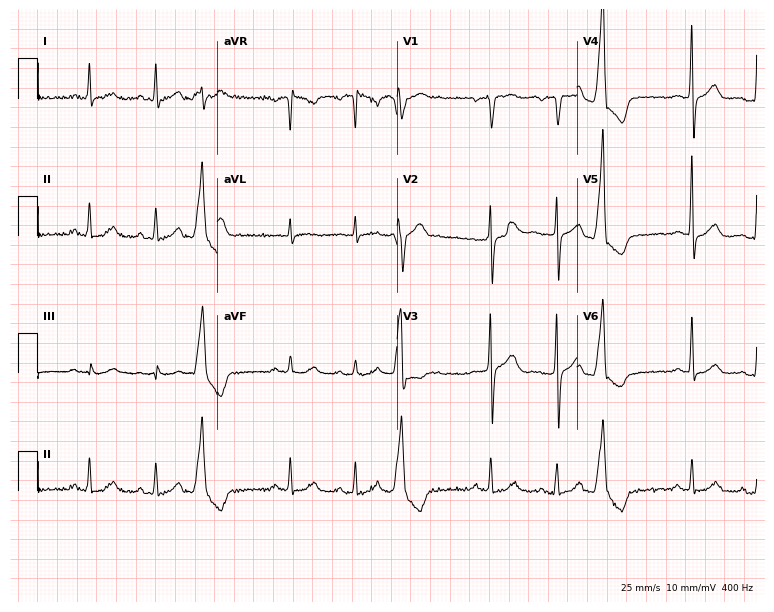
12-lead ECG from a male patient, 66 years old (7.3-second recording at 400 Hz). No first-degree AV block, right bundle branch block, left bundle branch block, sinus bradycardia, atrial fibrillation or sinus tachycardia recorded for this tracing. Findings outside these six are not listed.